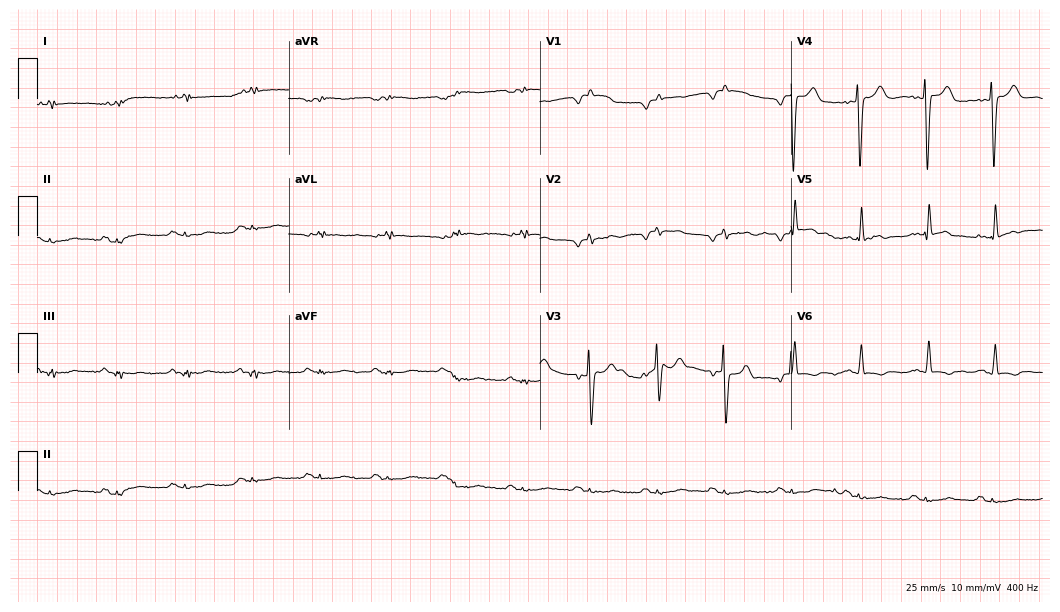
12-lead ECG from a 47-year-old man. Labelled as a normal ECG.